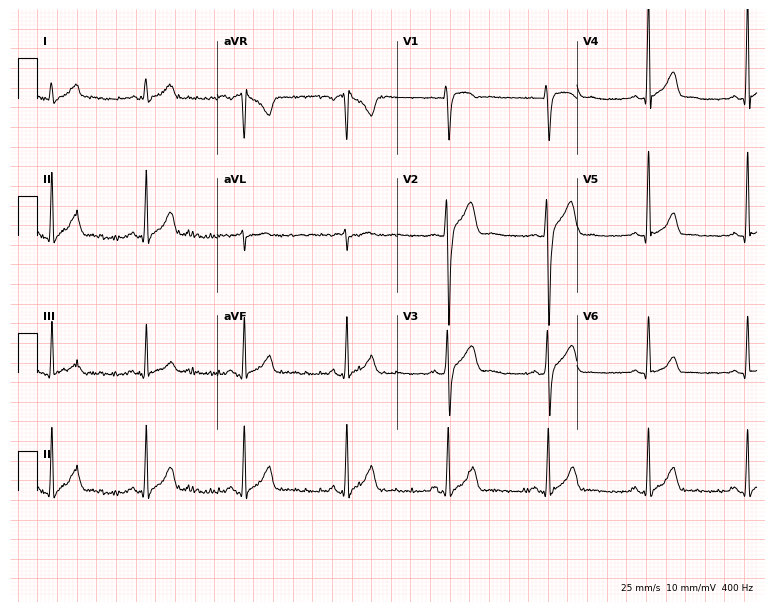
12-lead ECG (7.3-second recording at 400 Hz) from a 39-year-old male patient. Labelled as a normal ECG.